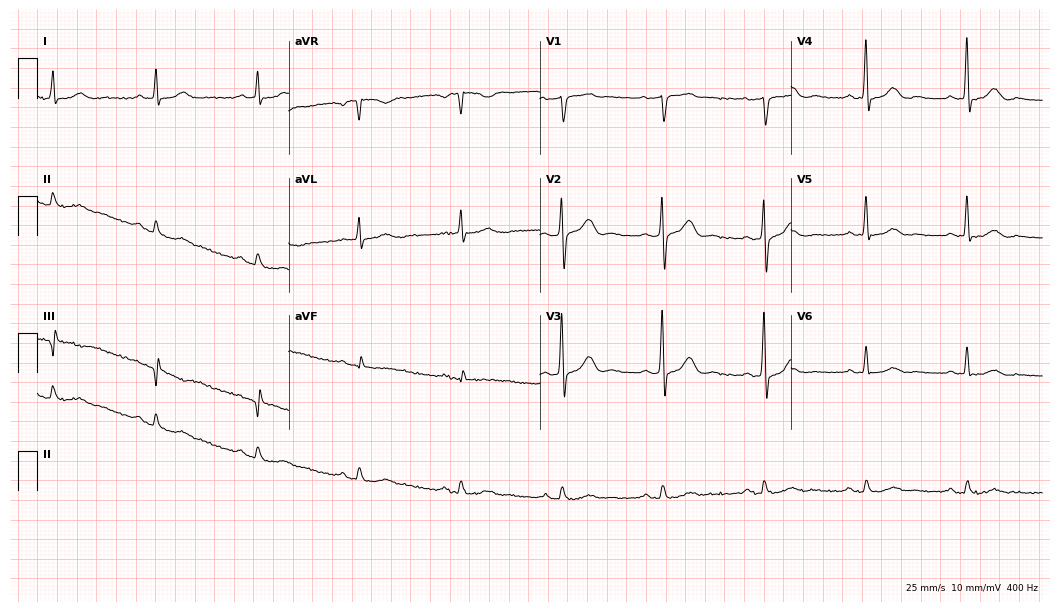
ECG (10.2-second recording at 400 Hz) — a 65-year-old man. Labelled as a normal ECG.